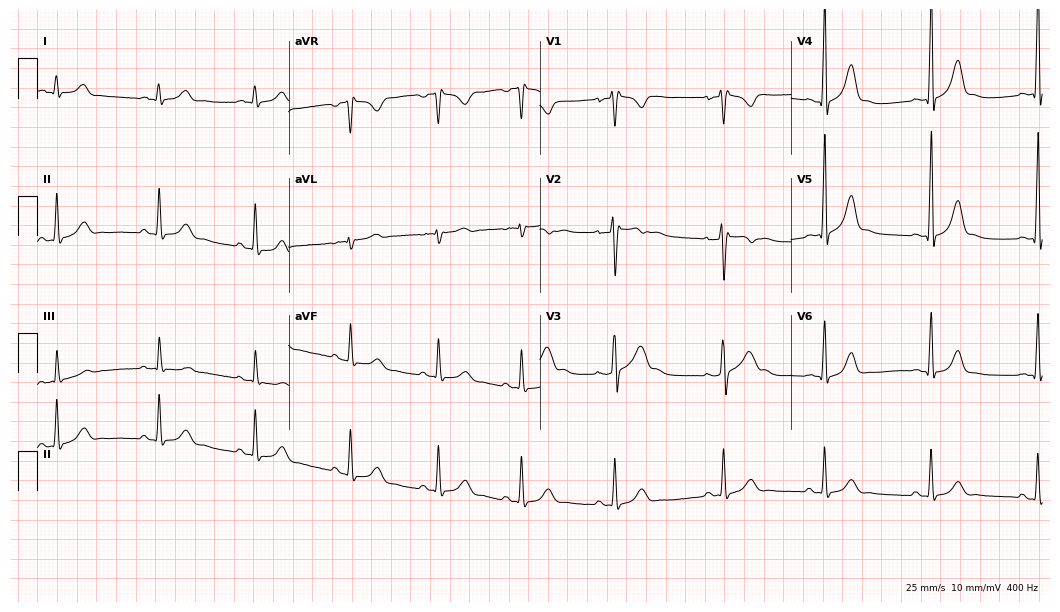
Resting 12-lead electrocardiogram. Patient: a 29-year-old man. None of these six findings is recorded: first-degree AV block, right bundle branch block, left bundle branch block, sinus bradycardia, atrial fibrillation, sinus tachycardia.